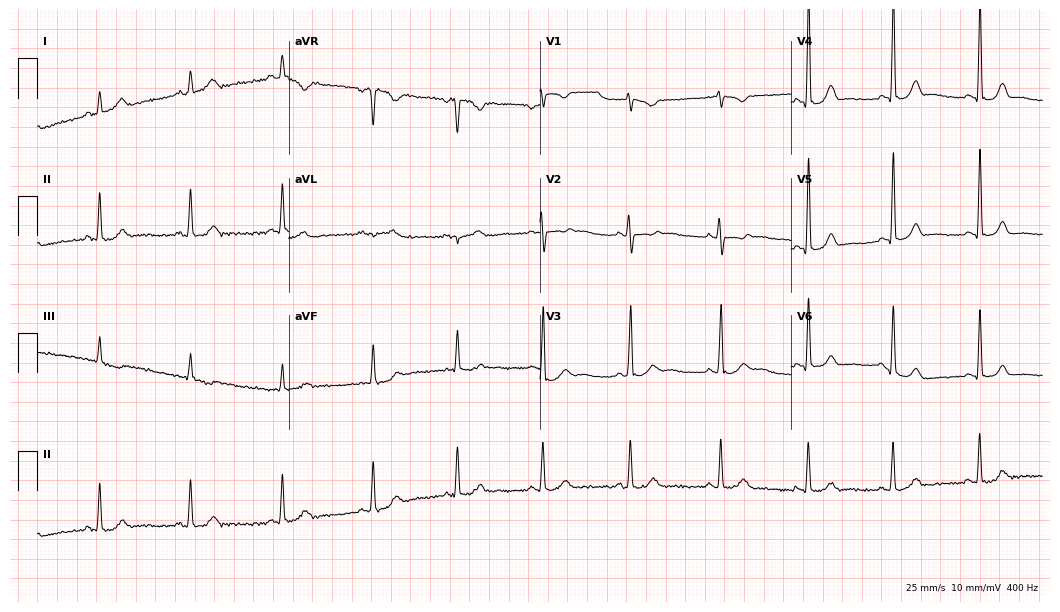
12-lead ECG from a female, 23 years old. Screened for six findings — first-degree AV block, right bundle branch block, left bundle branch block, sinus bradycardia, atrial fibrillation, sinus tachycardia — none is recorded.